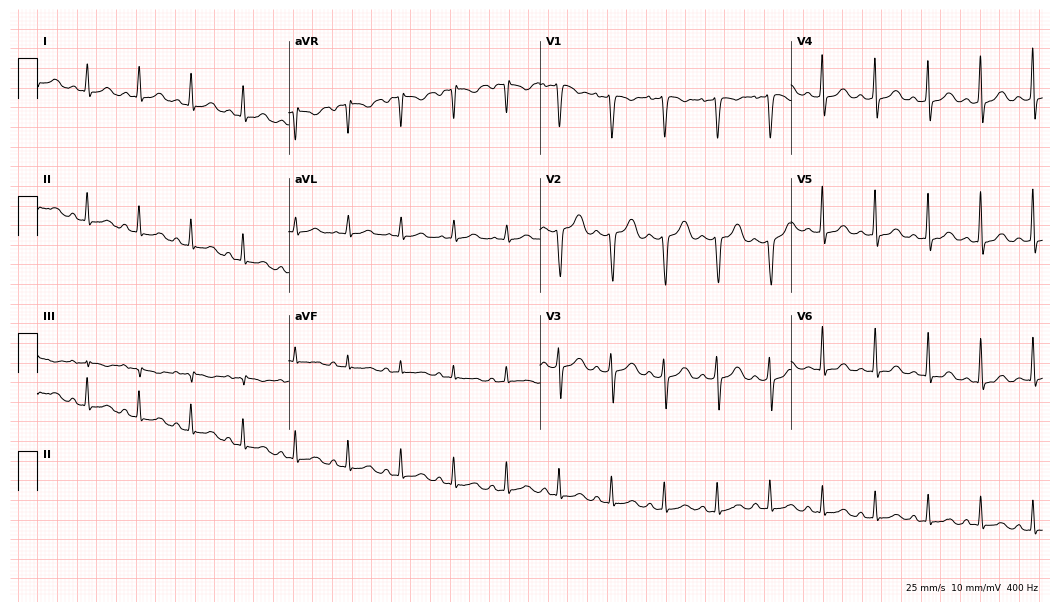
Standard 12-lead ECG recorded from a female patient, 39 years old (10.2-second recording at 400 Hz). The tracing shows sinus tachycardia (a sinus rate of 100 beats per minute or more).